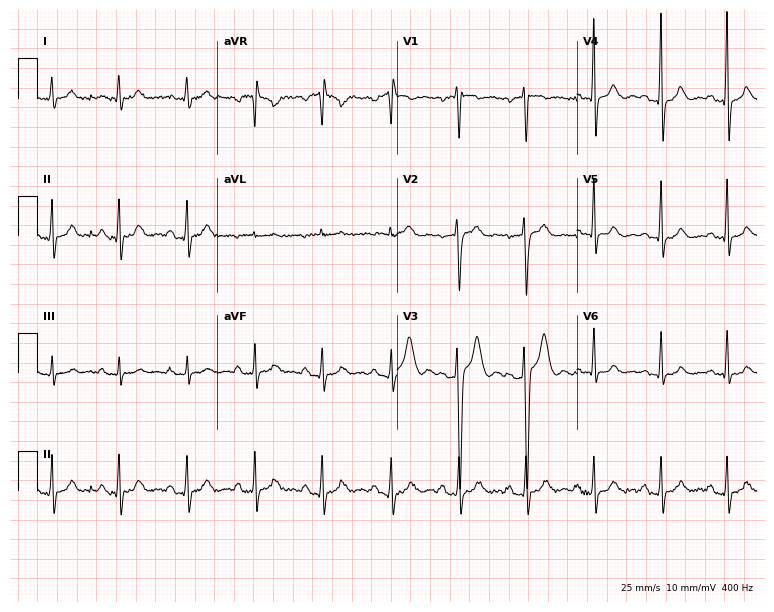
ECG — a 39-year-old male patient. Labelled as a normal ECG.